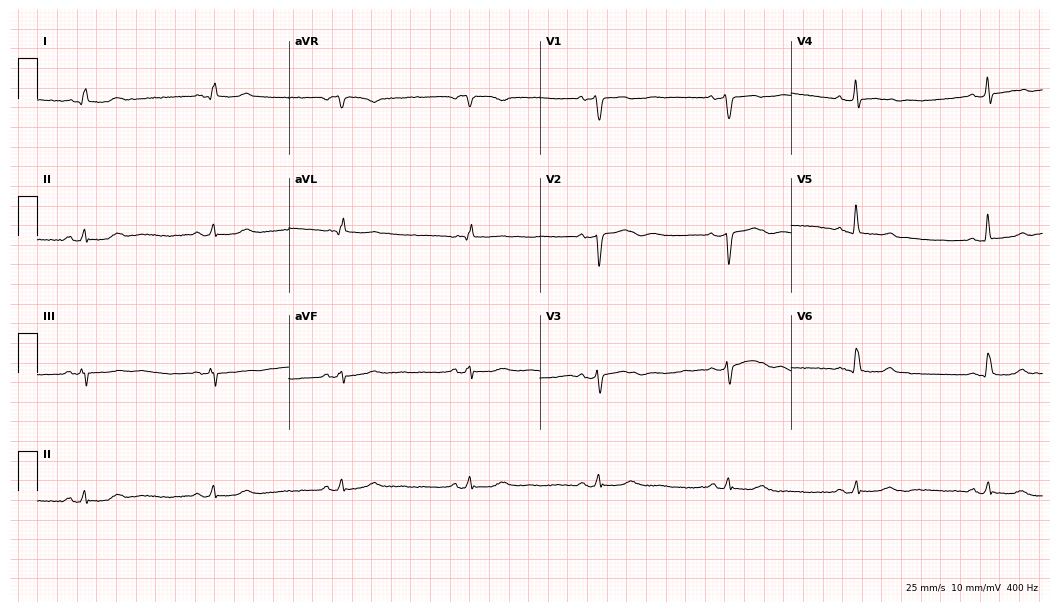
Resting 12-lead electrocardiogram (10.2-second recording at 400 Hz). Patient: a 71-year-old male. The tracing shows sinus bradycardia (a sinus rate of 50 beats per minute or less).